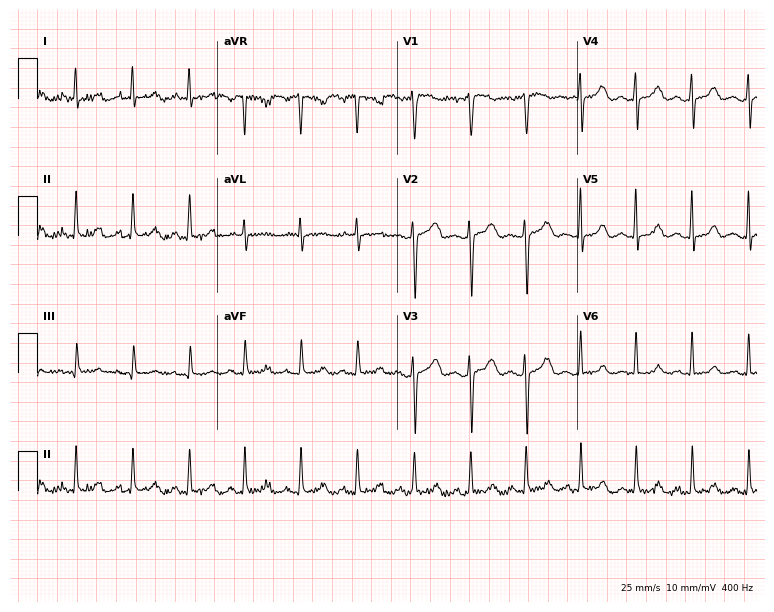
Standard 12-lead ECG recorded from a woman, 31 years old. The tracing shows sinus tachycardia (a sinus rate of 100 beats per minute or more).